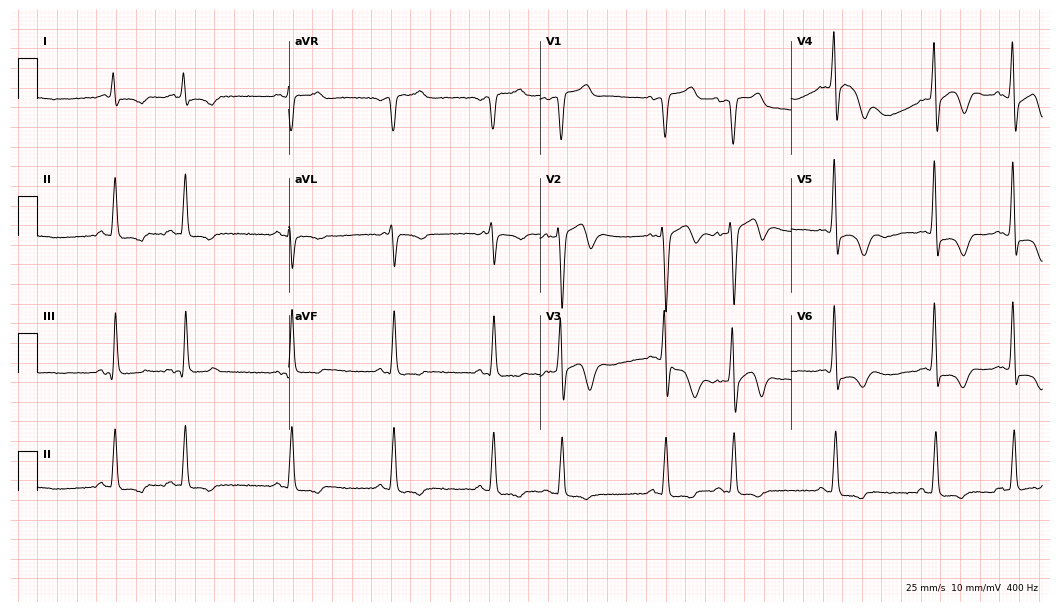
ECG (10.2-second recording at 400 Hz) — a 71-year-old male patient. Screened for six findings — first-degree AV block, right bundle branch block, left bundle branch block, sinus bradycardia, atrial fibrillation, sinus tachycardia — none is recorded.